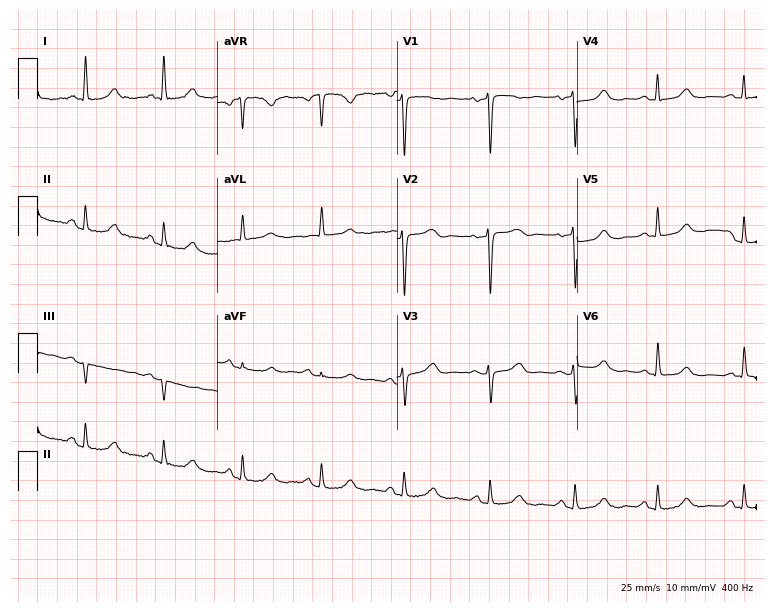
ECG — a 52-year-old woman. Screened for six findings — first-degree AV block, right bundle branch block, left bundle branch block, sinus bradycardia, atrial fibrillation, sinus tachycardia — none is recorded.